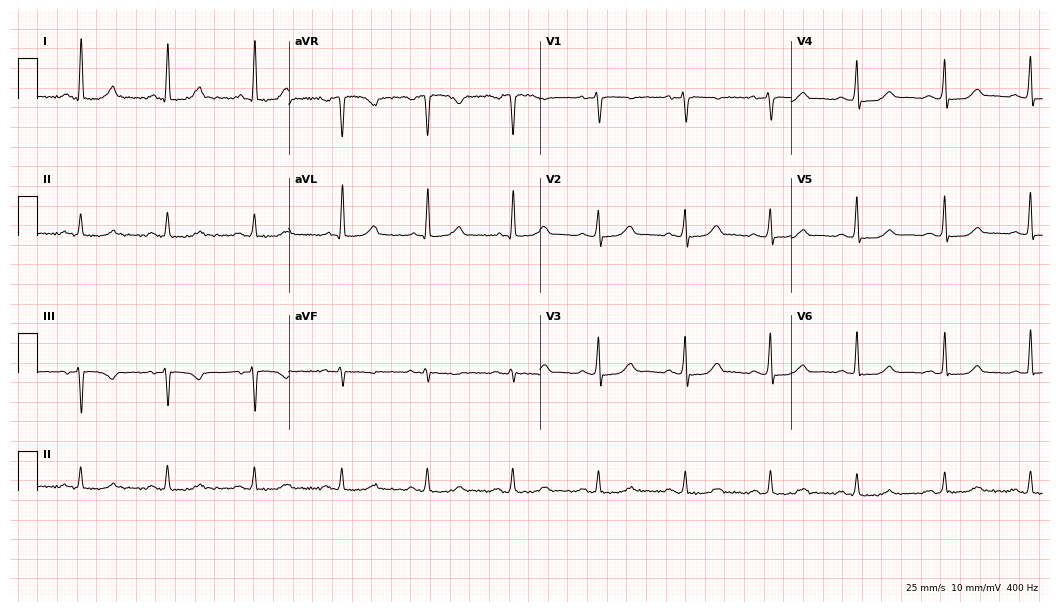
12-lead ECG (10.2-second recording at 400 Hz) from a 53-year-old woman. Labelled as a normal ECG.